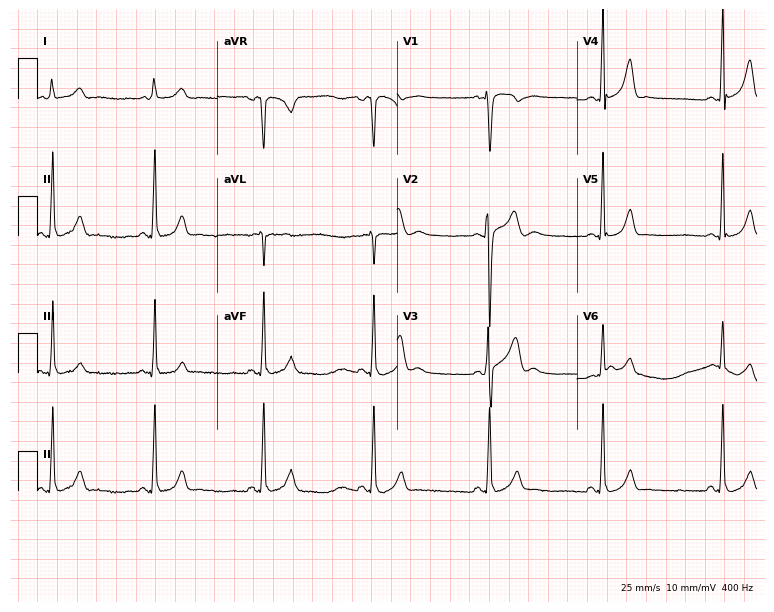
Standard 12-lead ECG recorded from a 22-year-old male. None of these six findings is recorded: first-degree AV block, right bundle branch block, left bundle branch block, sinus bradycardia, atrial fibrillation, sinus tachycardia.